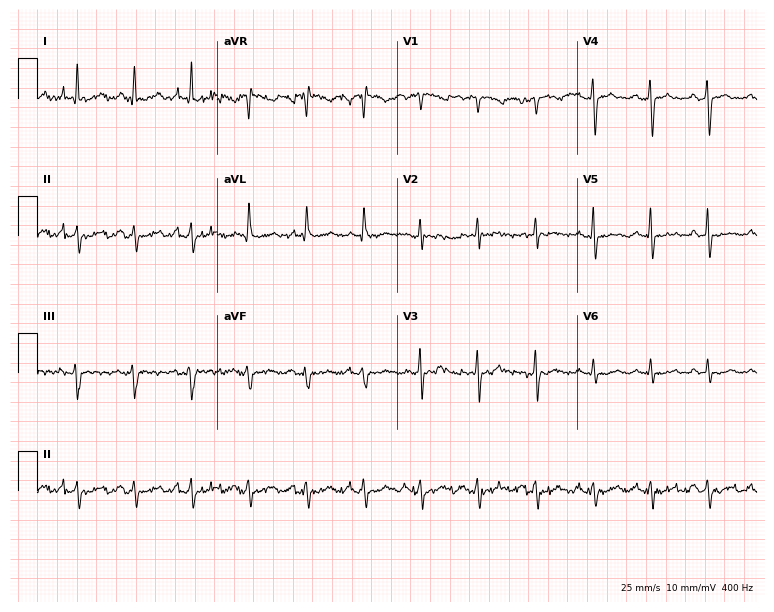
Standard 12-lead ECG recorded from a 55-year-old woman. None of these six findings is recorded: first-degree AV block, right bundle branch block (RBBB), left bundle branch block (LBBB), sinus bradycardia, atrial fibrillation (AF), sinus tachycardia. Other findings, if any, are not listed.